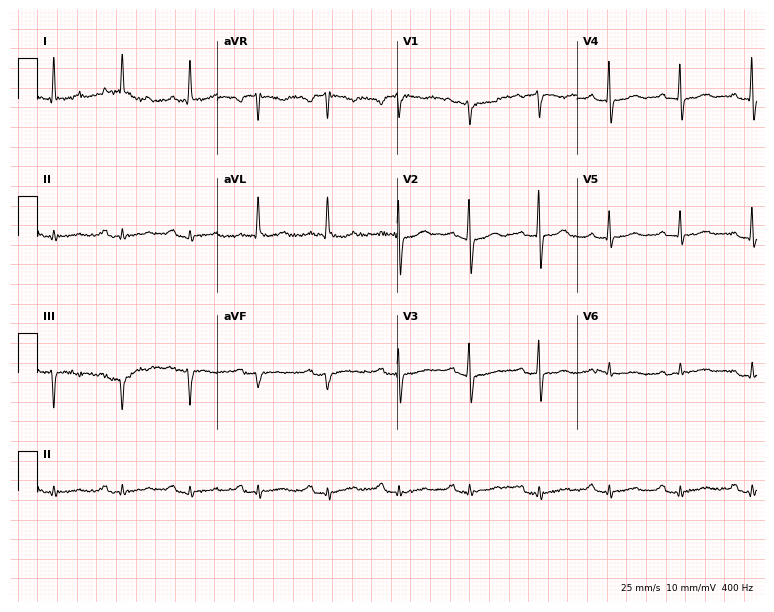
Standard 12-lead ECG recorded from a 74-year-old male (7.3-second recording at 400 Hz). None of these six findings is recorded: first-degree AV block, right bundle branch block, left bundle branch block, sinus bradycardia, atrial fibrillation, sinus tachycardia.